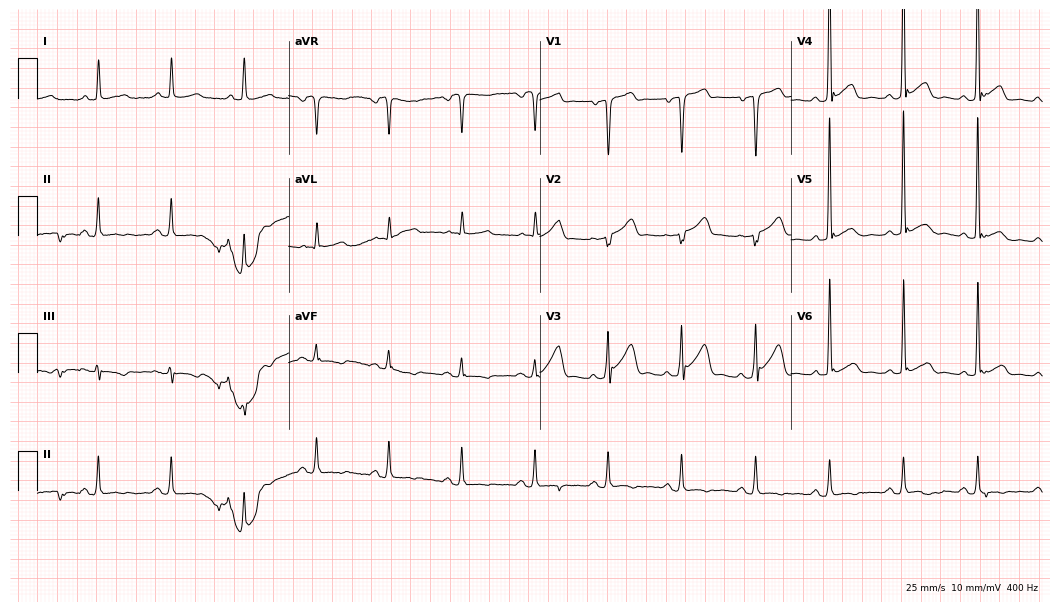
ECG (10.2-second recording at 400 Hz) — a 68-year-old male. Labelled as a normal ECG.